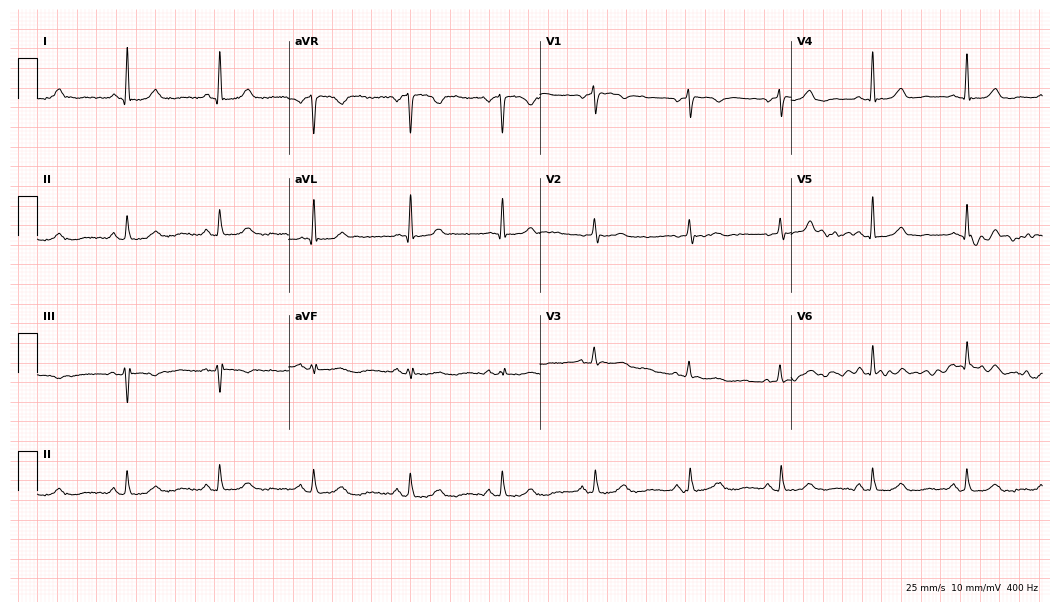
ECG — a female, 44 years old. Screened for six findings — first-degree AV block, right bundle branch block, left bundle branch block, sinus bradycardia, atrial fibrillation, sinus tachycardia — none is recorded. Other findings, if any, are not listed.